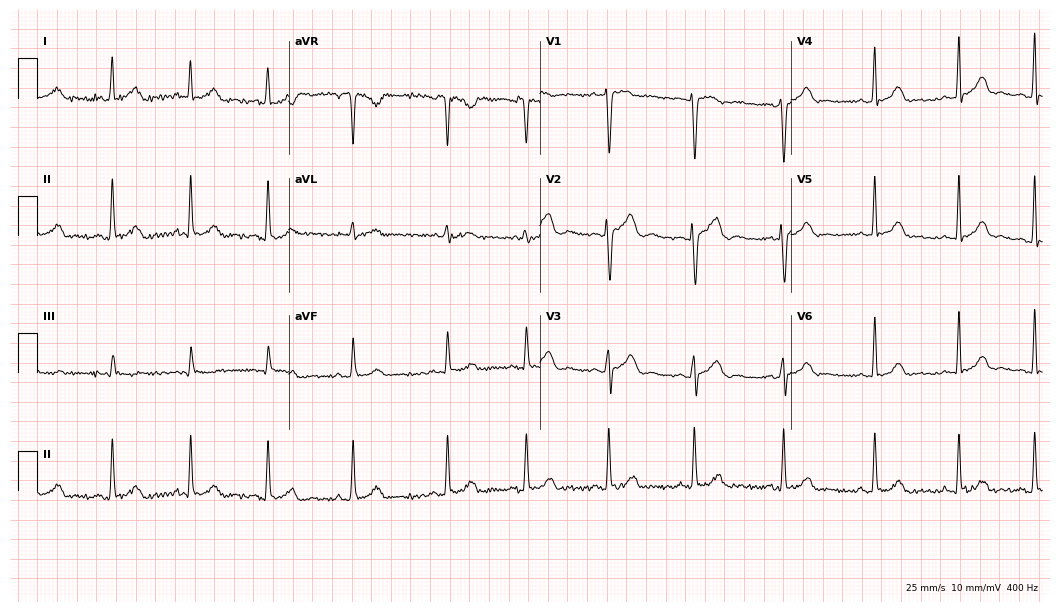
Resting 12-lead electrocardiogram (10.2-second recording at 400 Hz). Patient: a female, 28 years old. Read as a normal ECG.